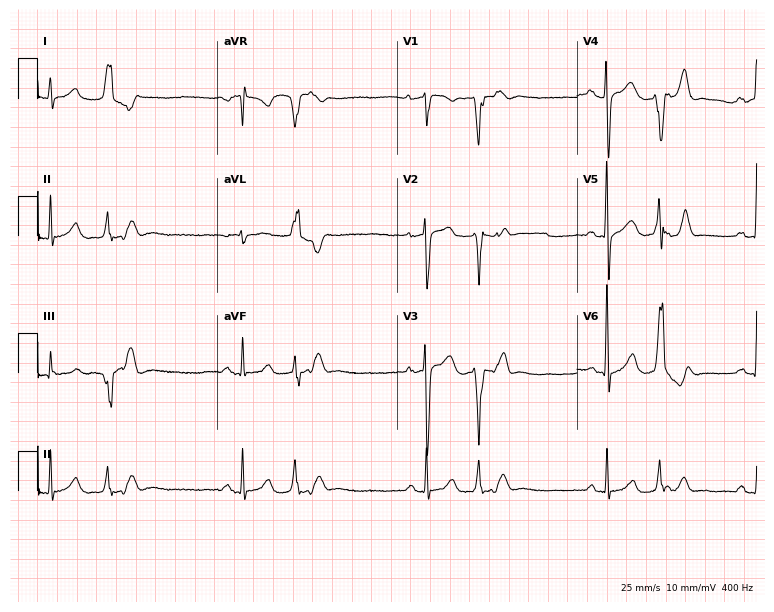
ECG — a male, 34 years old. Screened for six findings — first-degree AV block, right bundle branch block, left bundle branch block, sinus bradycardia, atrial fibrillation, sinus tachycardia — none is recorded. Findings outside these six are not listed.